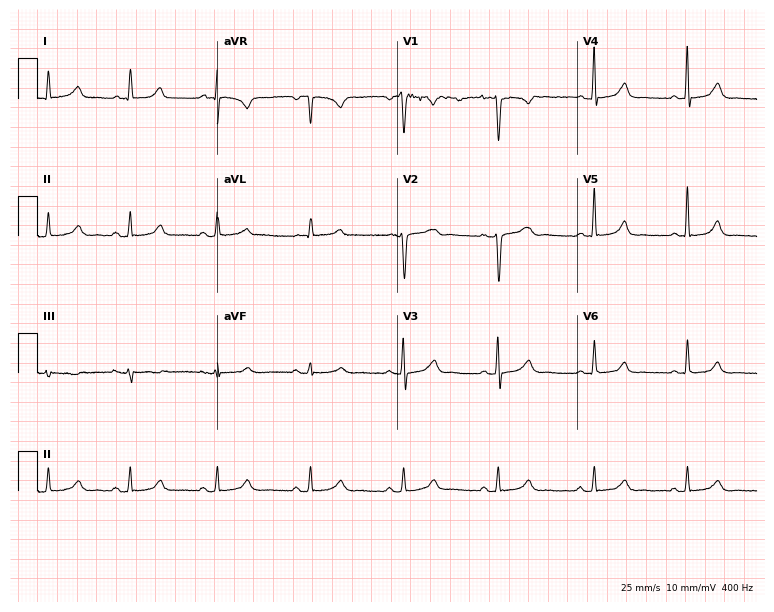
Resting 12-lead electrocardiogram. Patient: a female, 36 years old. Read as a normal ECG.